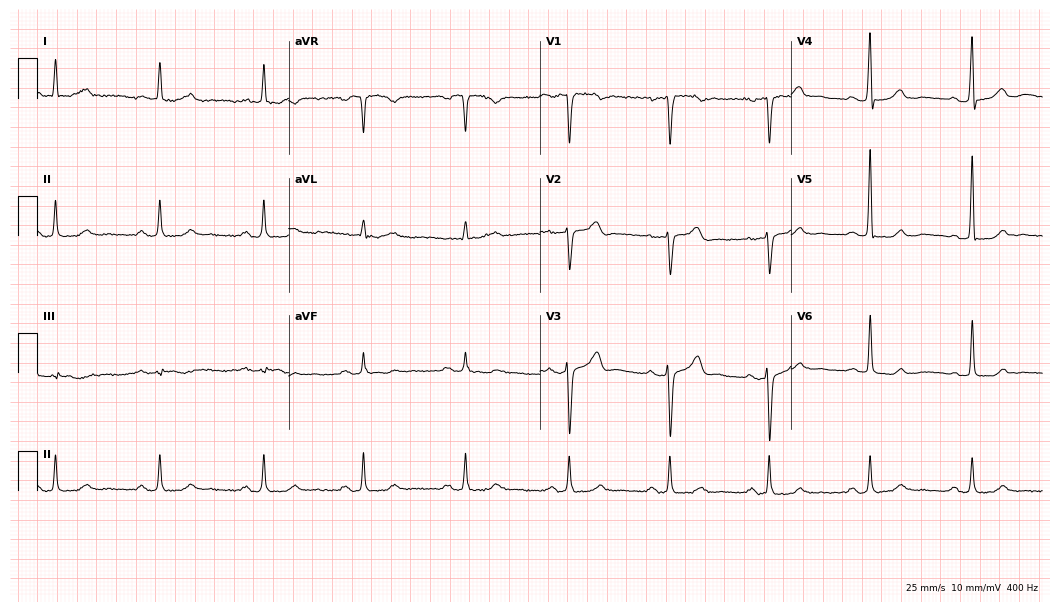
ECG (10.2-second recording at 400 Hz) — a 70-year-old male. Labelled as a normal ECG.